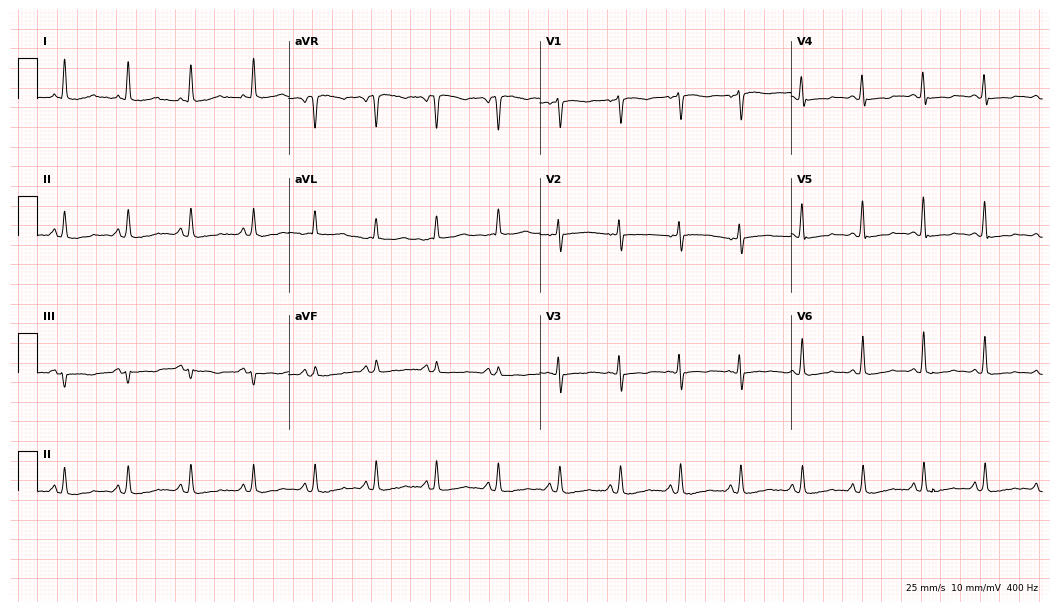
Resting 12-lead electrocardiogram (10.2-second recording at 400 Hz). Patient: a female, 40 years old. None of these six findings is recorded: first-degree AV block, right bundle branch block, left bundle branch block, sinus bradycardia, atrial fibrillation, sinus tachycardia.